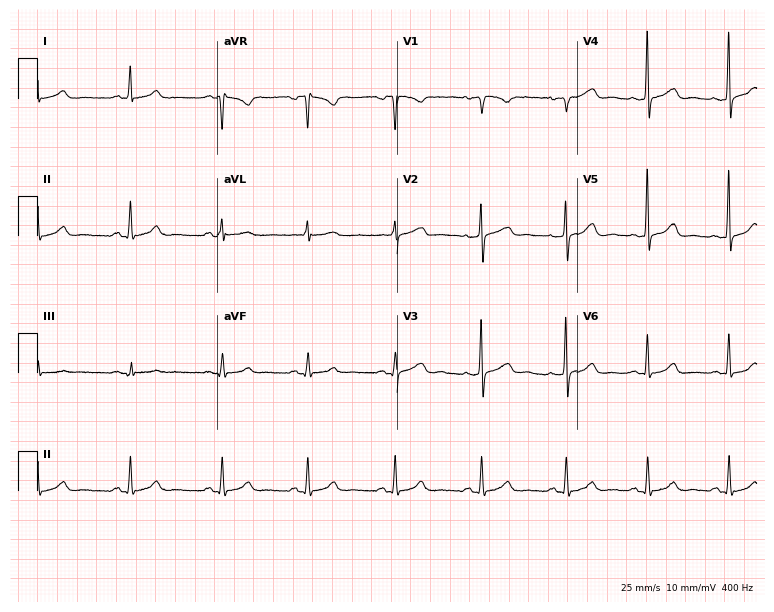
12-lead ECG from a female, 40 years old. Labelled as a normal ECG.